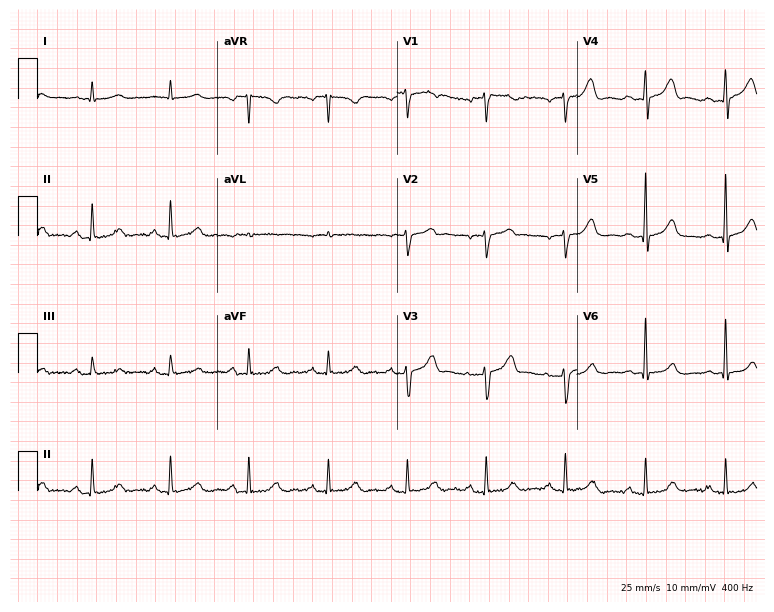
Resting 12-lead electrocardiogram. Patient: a male, 79 years old. Read as a normal ECG.